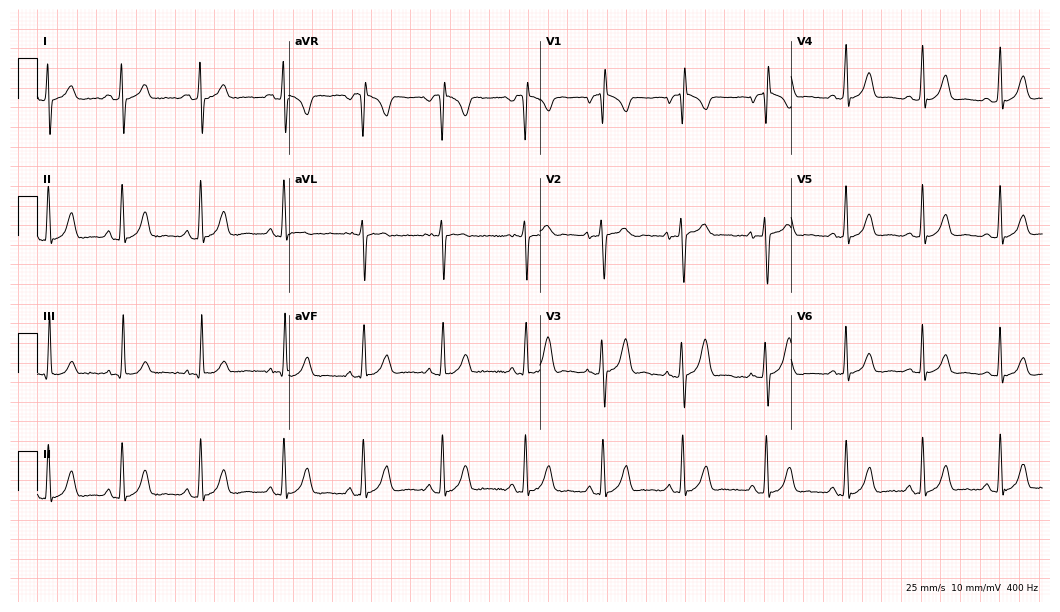
ECG (10.2-second recording at 400 Hz) — a 20-year-old female patient. Screened for six findings — first-degree AV block, right bundle branch block (RBBB), left bundle branch block (LBBB), sinus bradycardia, atrial fibrillation (AF), sinus tachycardia — none is recorded.